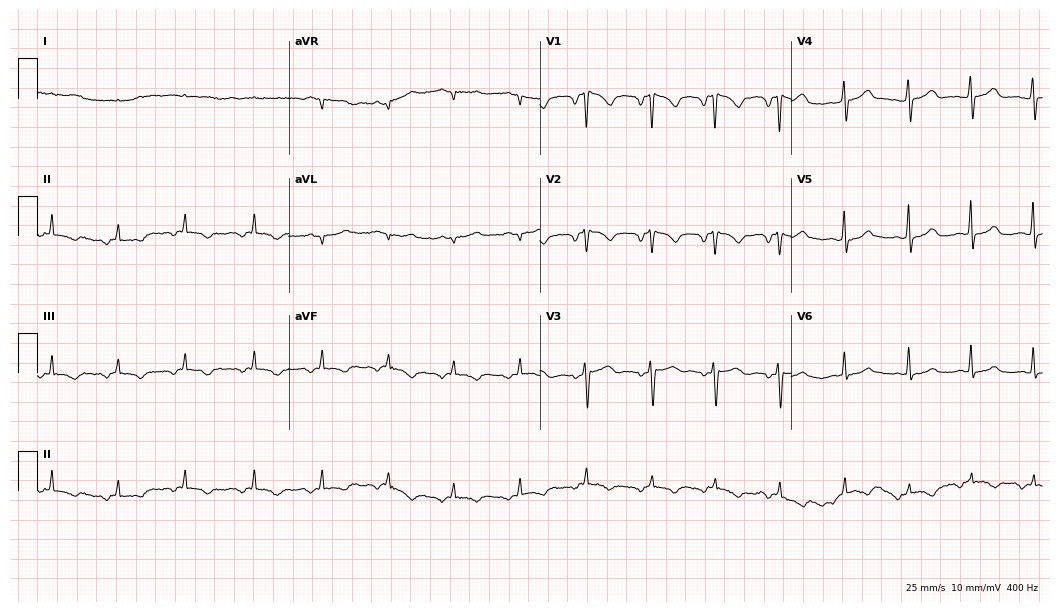
Resting 12-lead electrocardiogram. Patient: a 48-year-old female. None of these six findings is recorded: first-degree AV block, right bundle branch block, left bundle branch block, sinus bradycardia, atrial fibrillation, sinus tachycardia. Other findings, if any, are not listed.